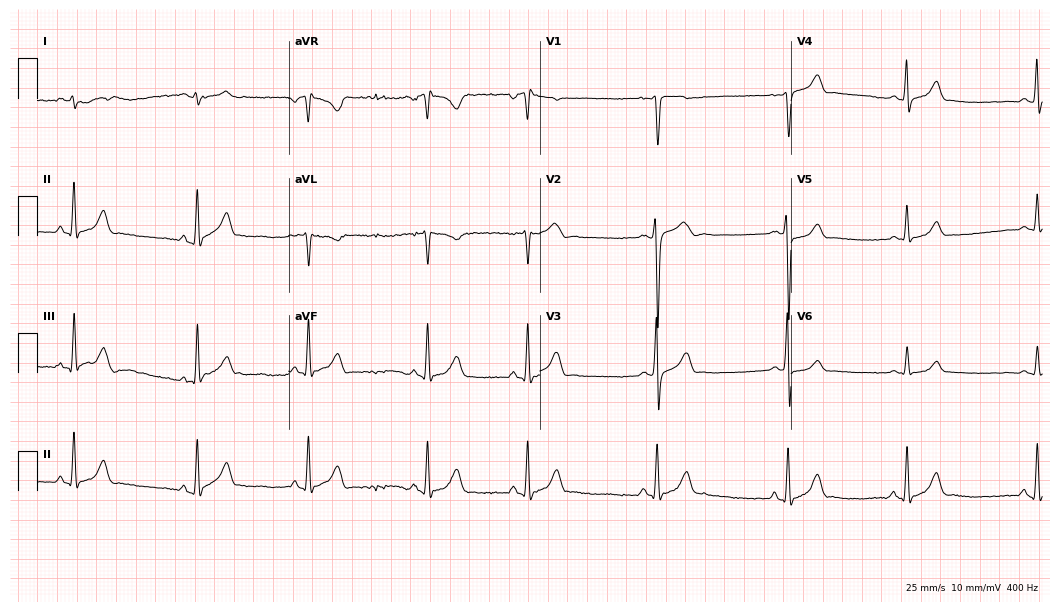
12-lead ECG from a male patient, 18 years old (10.2-second recording at 400 Hz). Recorded interpretation: within normal limits.